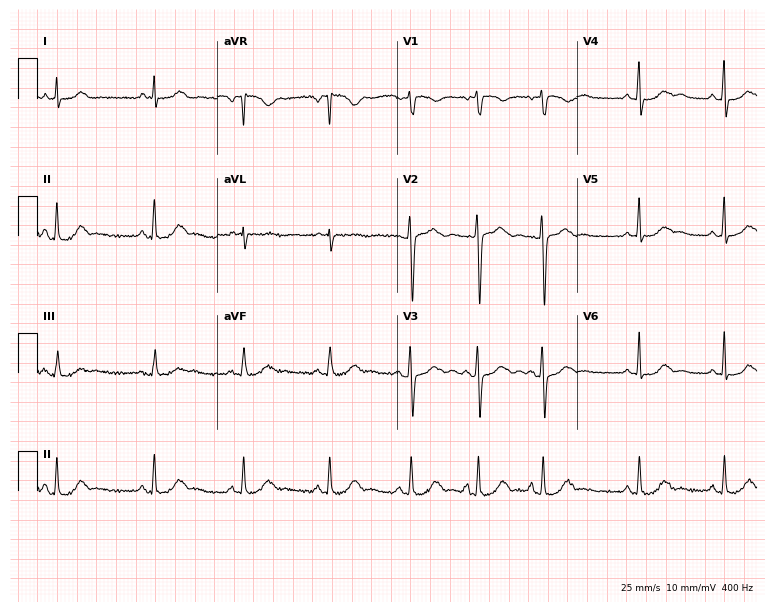
ECG — a 49-year-old female. Labelled as a normal ECG.